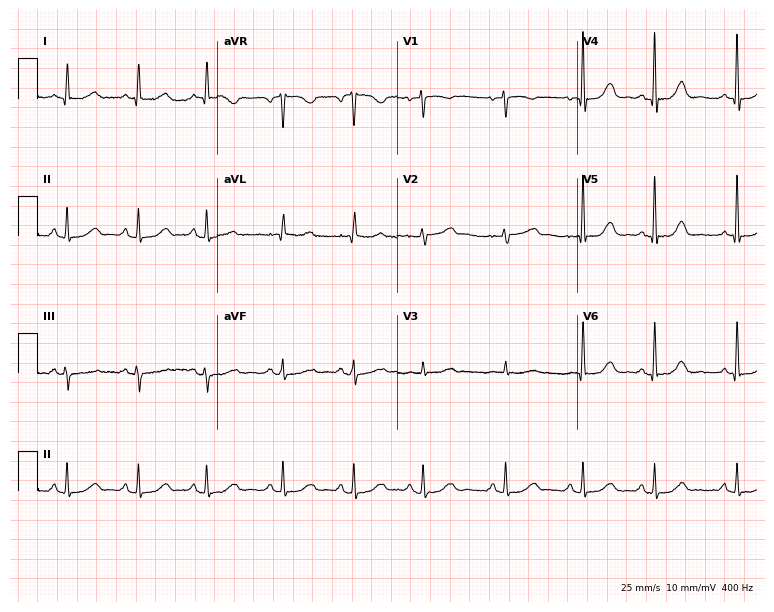
ECG (7.3-second recording at 400 Hz) — a female, 73 years old. Labelled as a normal ECG.